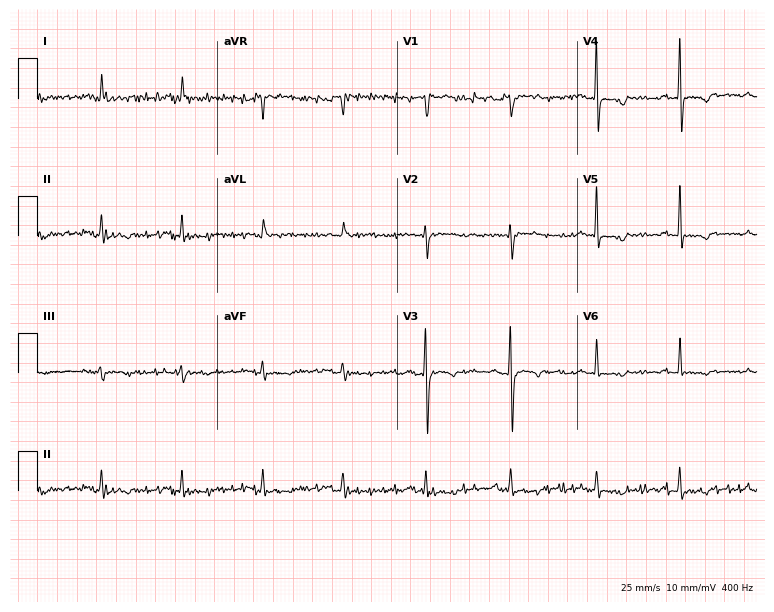
12-lead ECG from a man, 55 years old (7.3-second recording at 400 Hz). No first-degree AV block, right bundle branch block, left bundle branch block, sinus bradycardia, atrial fibrillation or sinus tachycardia recorded for this tracing. Only these six findings were labelled.